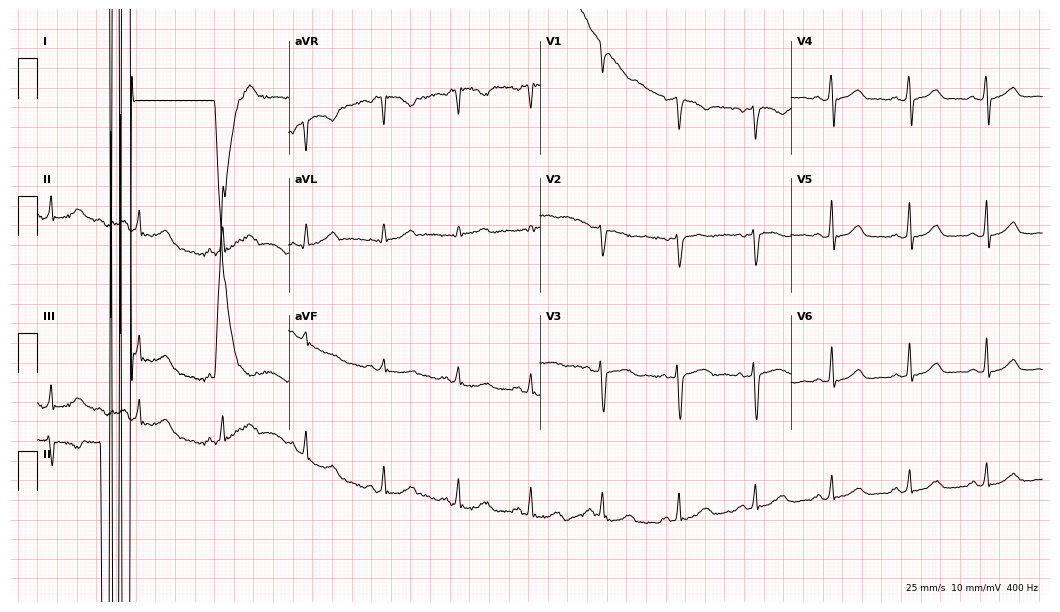
Electrocardiogram, a female, 46 years old. Overall reading on record: normal ECG.